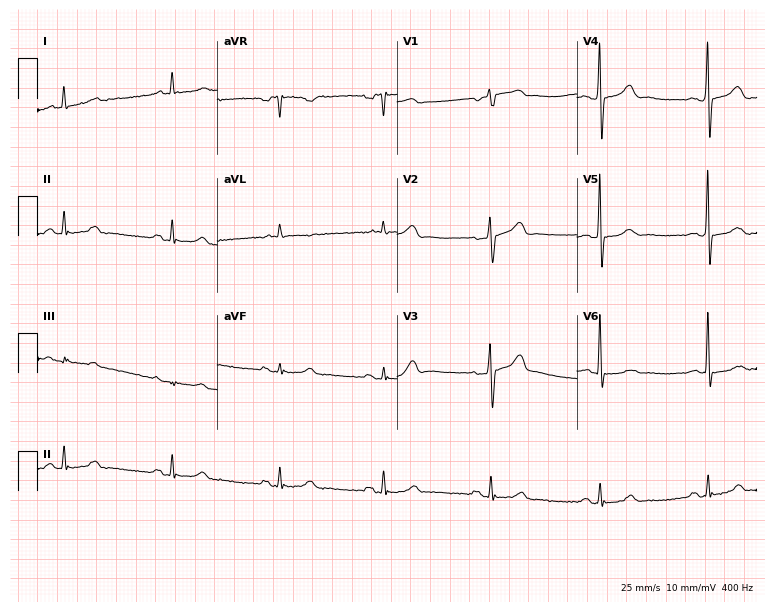
ECG — a 72-year-old male. Screened for six findings — first-degree AV block, right bundle branch block, left bundle branch block, sinus bradycardia, atrial fibrillation, sinus tachycardia — none is recorded. Only these six findings were labelled.